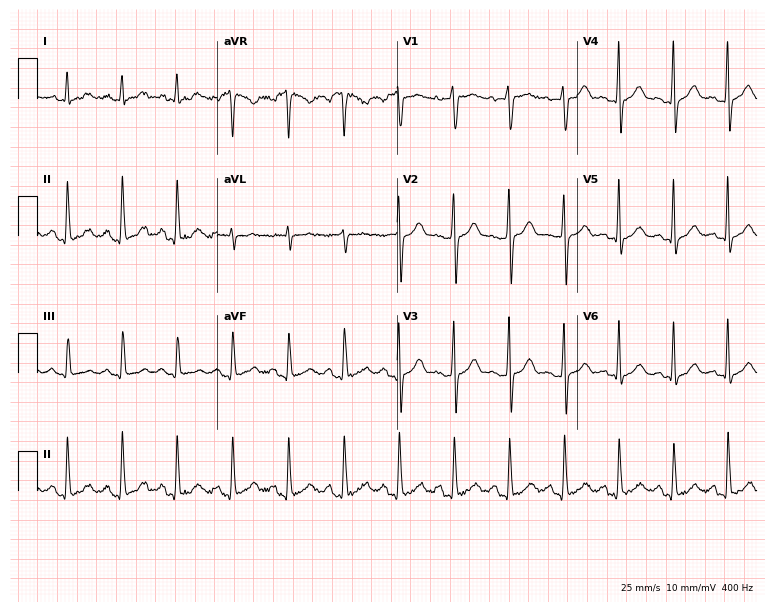
Standard 12-lead ECG recorded from a 27-year-old woman. The tracing shows sinus tachycardia (a sinus rate of 100 beats per minute or more).